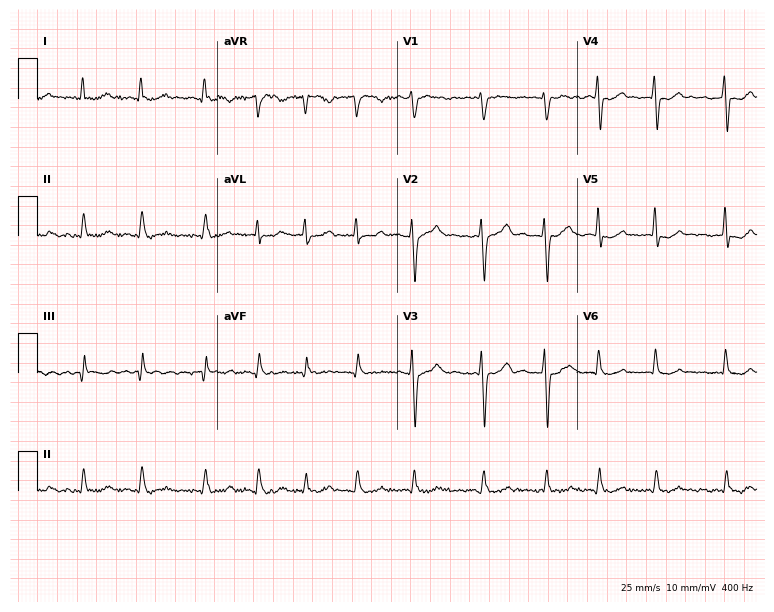
Resting 12-lead electrocardiogram. Patient: a male, 69 years old. The tracing shows atrial fibrillation (AF).